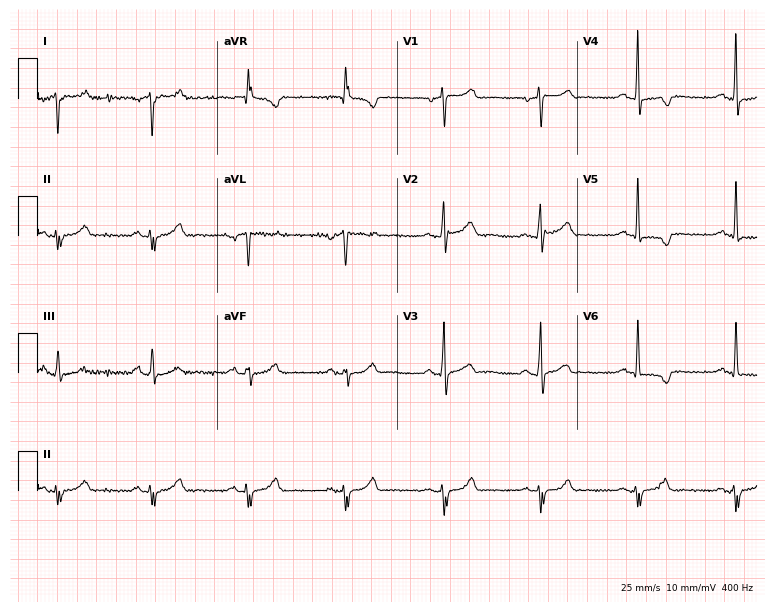
12-lead ECG from a male, 62 years old. Screened for six findings — first-degree AV block, right bundle branch block, left bundle branch block, sinus bradycardia, atrial fibrillation, sinus tachycardia — none is recorded. Other findings, if any, are not listed.